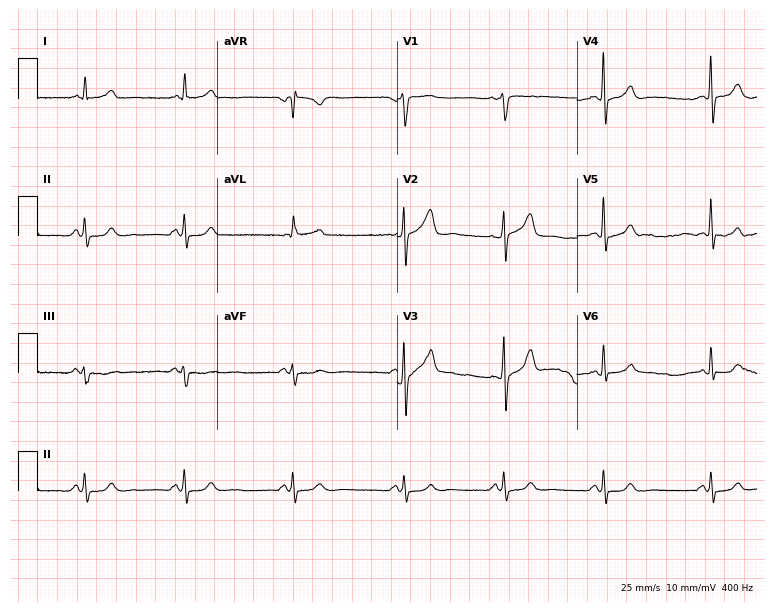
12-lead ECG from a male patient, 72 years old. Recorded interpretation: within normal limits.